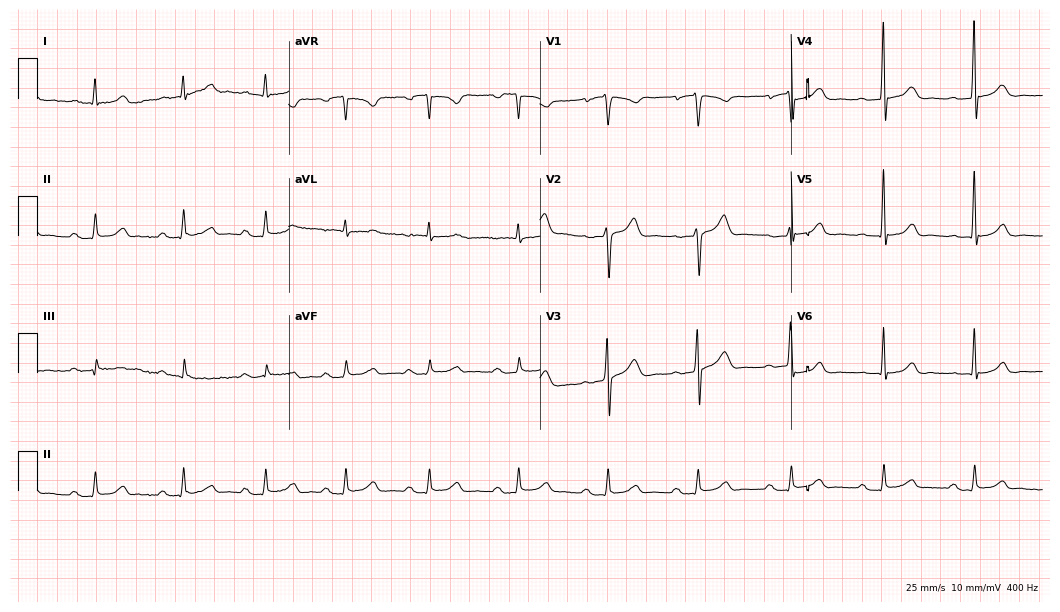
ECG (10.2-second recording at 400 Hz) — a 53-year-old male patient. Findings include first-degree AV block.